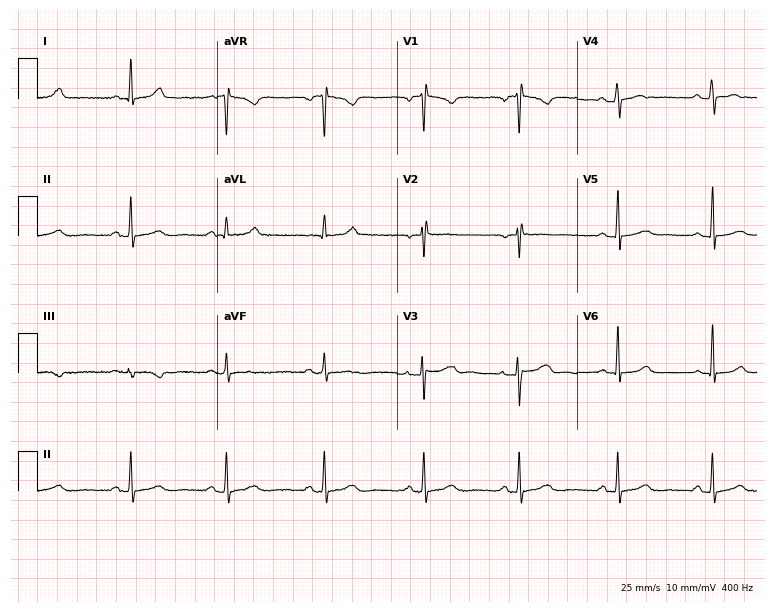
12-lead ECG from a 29-year-old woman (7.3-second recording at 400 Hz). No first-degree AV block, right bundle branch block (RBBB), left bundle branch block (LBBB), sinus bradycardia, atrial fibrillation (AF) or sinus tachycardia recorded for this tracing. Only these six findings were labelled.